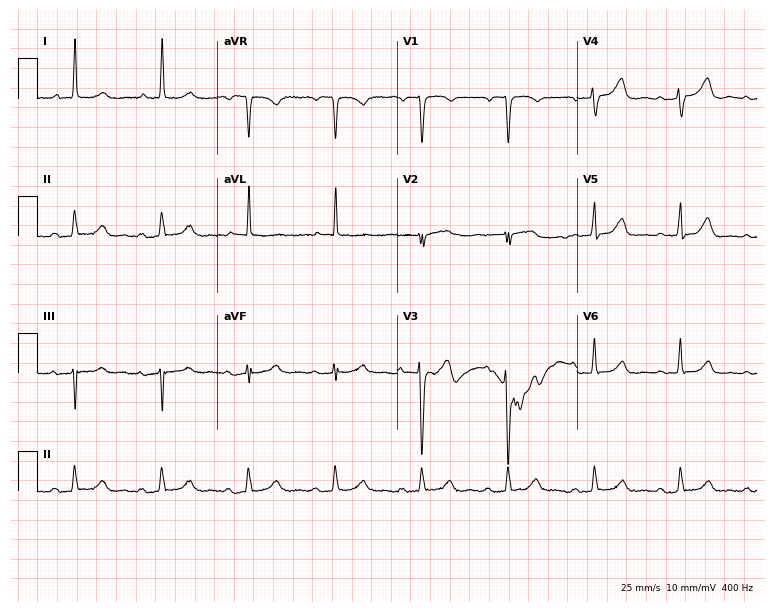
Electrocardiogram, an 80-year-old woman. Of the six screened findings (first-degree AV block, right bundle branch block (RBBB), left bundle branch block (LBBB), sinus bradycardia, atrial fibrillation (AF), sinus tachycardia), none is recorded. Only these six findings were labelled.